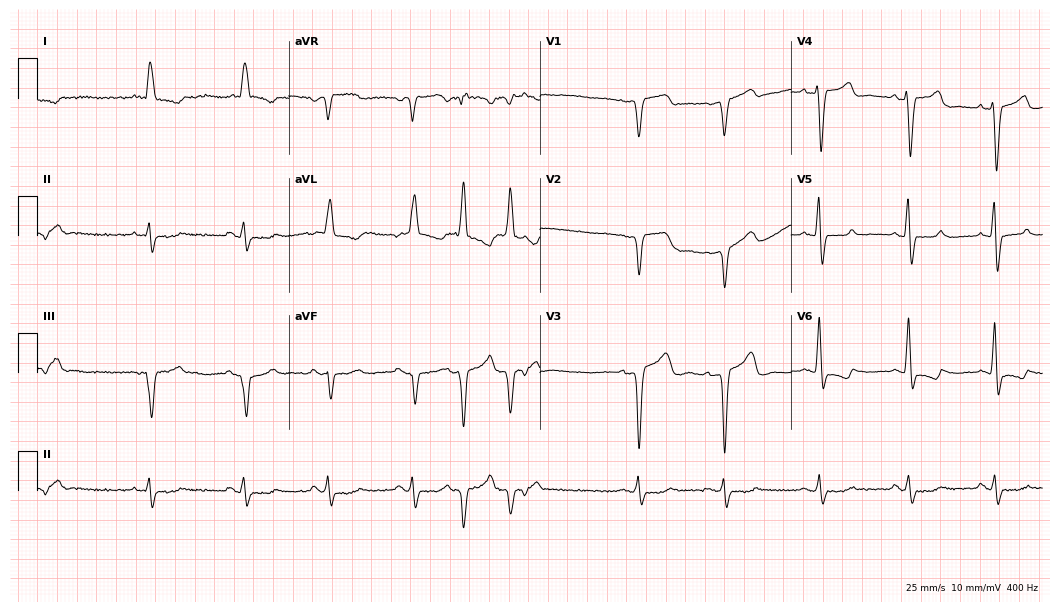
12-lead ECG from a man, 80 years old. Shows left bundle branch block.